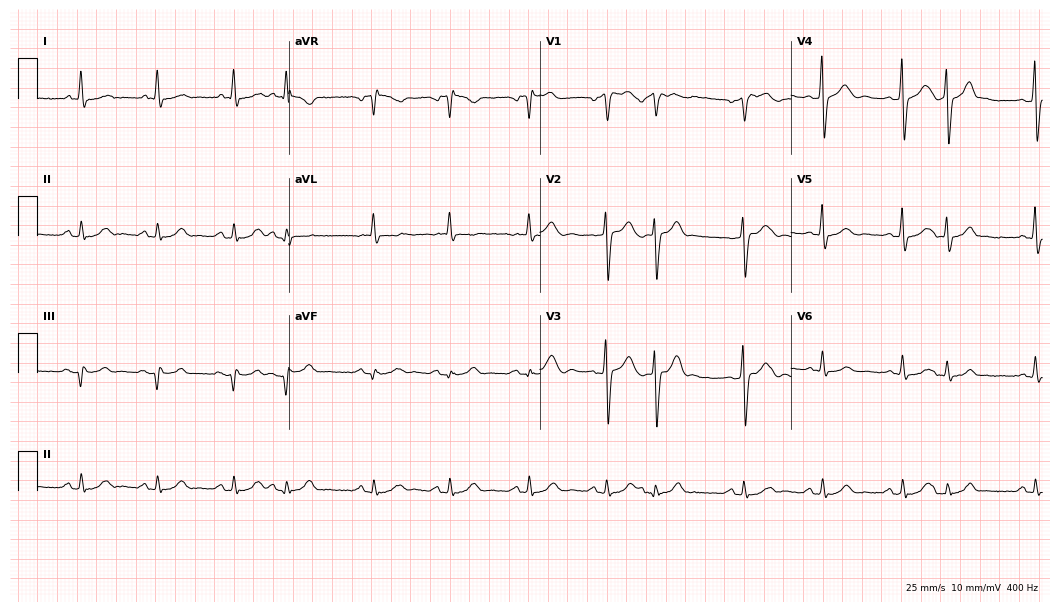
ECG — a 67-year-old male. Screened for six findings — first-degree AV block, right bundle branch block (RBBB), left bundle branch block (LBBB), sinus bradycardia, atrial fibrillation (AF), sinus tachycardia — none is recorded.